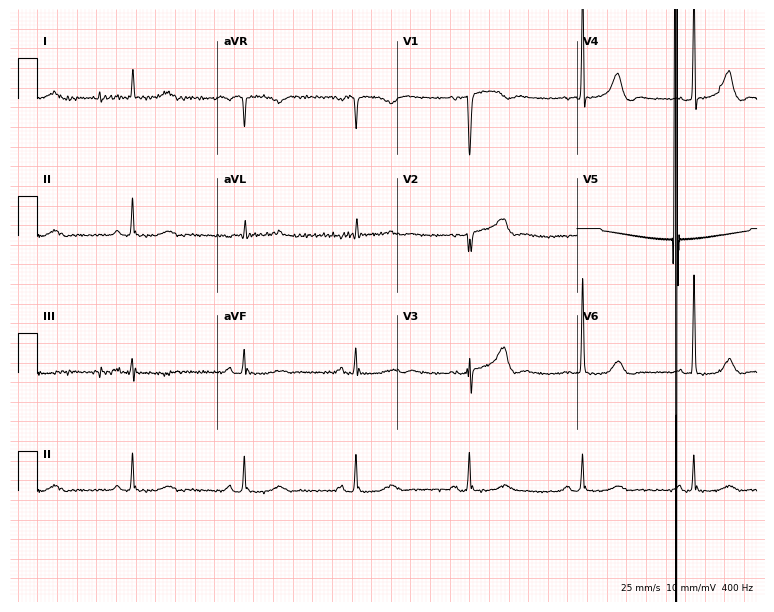
Resting 12-lead electrocardiogram. Patient: a 79-year-old female. None of these six findings is recorded: first-degree AV block, right bundle branch block, left bundle branch block, sinus bradycardia, atrial fibrillation, sinus tachycardia.